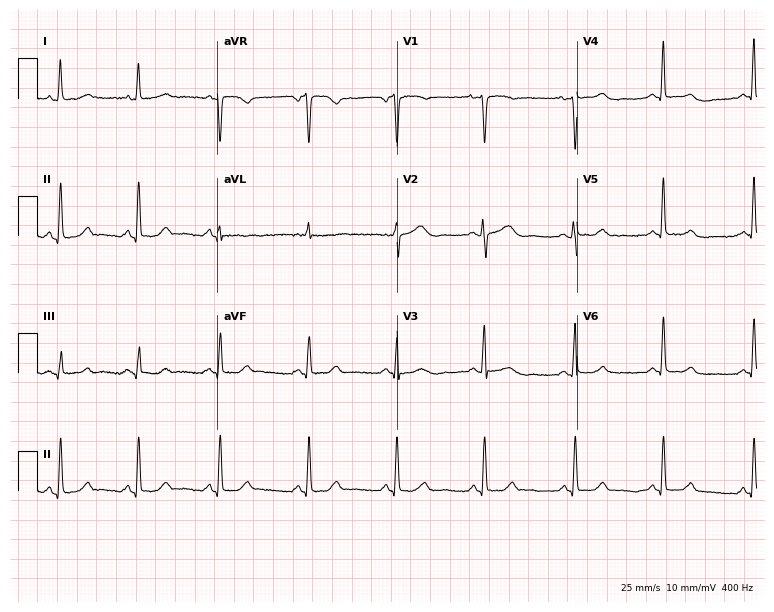
Resting 12-lead electrocardiogram (7.3-second recording at 400 Hz). Patient: a female, 52 years old. None of these six findings is recorded: first-degree AV block, right bundle branch block, left bundle branch block, sinus bradycardia, atrial fibrillation, sinus tachycardia.